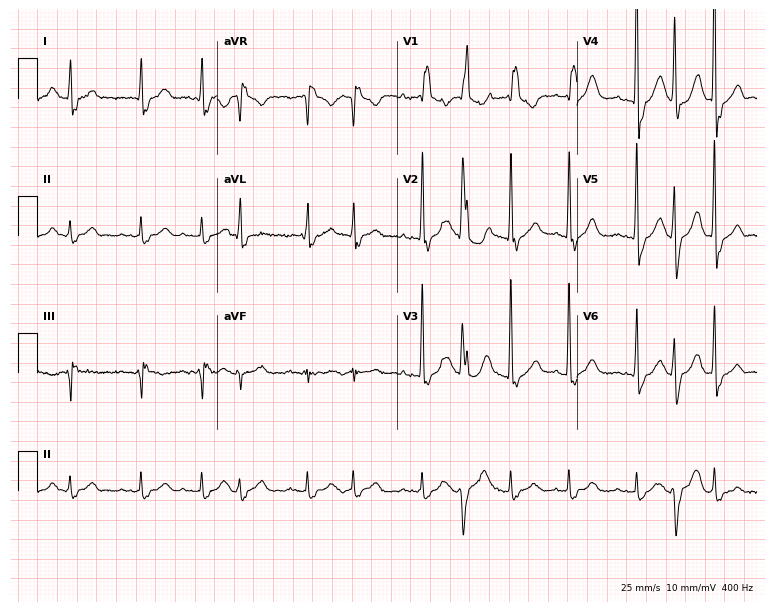
Standard 12-lead ECG recorded from a man, 82 years old (7.3-second recording at 400 Hz). The tracing shows right bundle branch block, atrial fibrillation, sinus tachycardia (a sinus rate of 100 beats per minute or more).